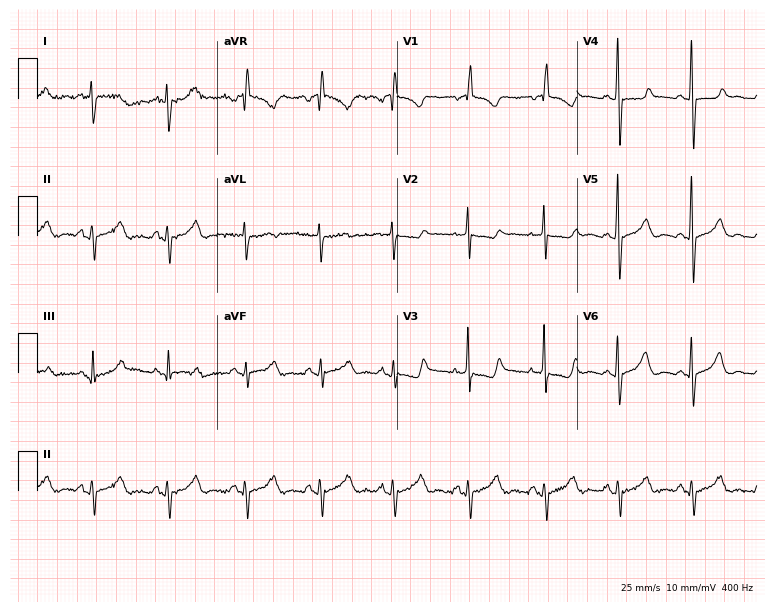
12-lead ECG (7.3-second recording at 400 Hz) from a 32-year-old female patient. Screened for six findings — first-degree AV block, right bundle branch block, left bundle branch block, sinus bradycardia, atrial fibrillation, sinus tachycardia — none is recorded.